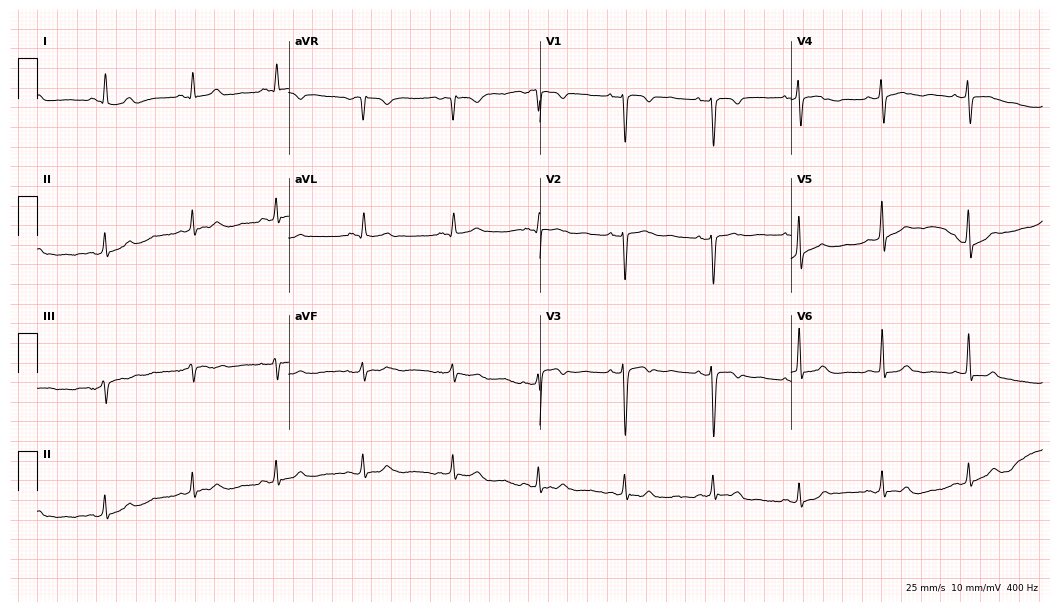
Electrocardiogram (10.2-second recording at 400 Hz), a woman, 29 years old. Overall reading on record: normal ECG.